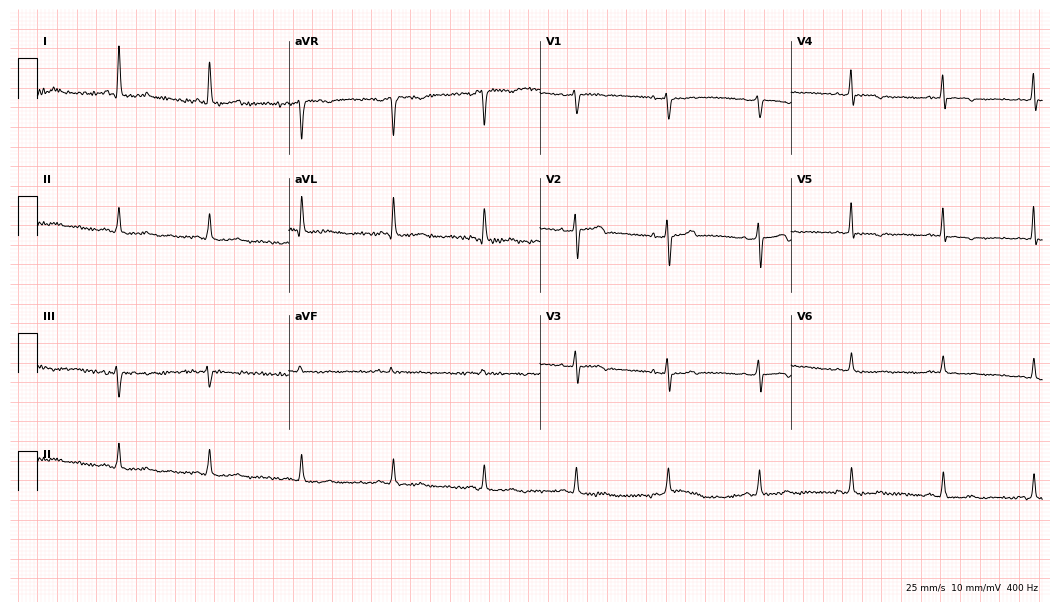
Electrocardiogram, a 63-year-old female. Of the six screened findings (first-degree AV block, right bundle branch block, left bundle branch block, sinus bradycardia, atrial fibrillation, sinus tachycardia), none is recorded. Only these six findings were labelled.